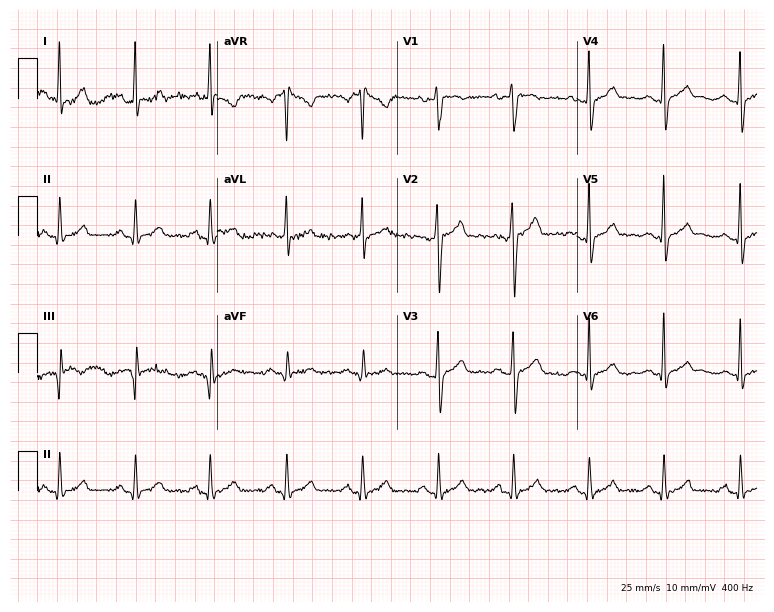
Resting 12-lead electrocardiogram. Patient: a 30-year-old man. None of these six findings is recorded: first-degree AV block, right bundle branch block (RBBB), left bundle branch block (LBBB), sinus bradycardia, atrial fibrillation (AF), sinus tachycardia. Only these six findings were labelled.